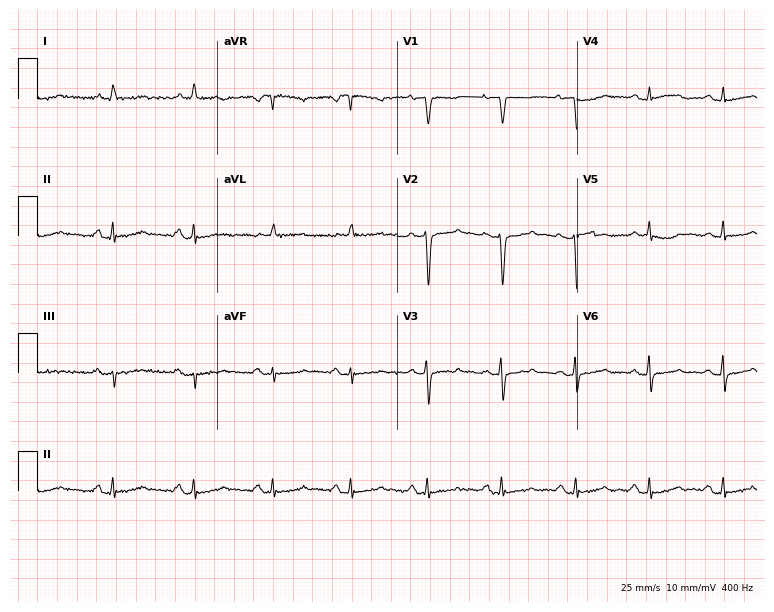
12-lead ECG from a 59-year-old female. No first-degree AV block, right bundle branch block, left bundle branch block, sinus bradycardia, atrial fibrillation or sinus tachycardia recorded for this tracing. Only these six findings were labelled.